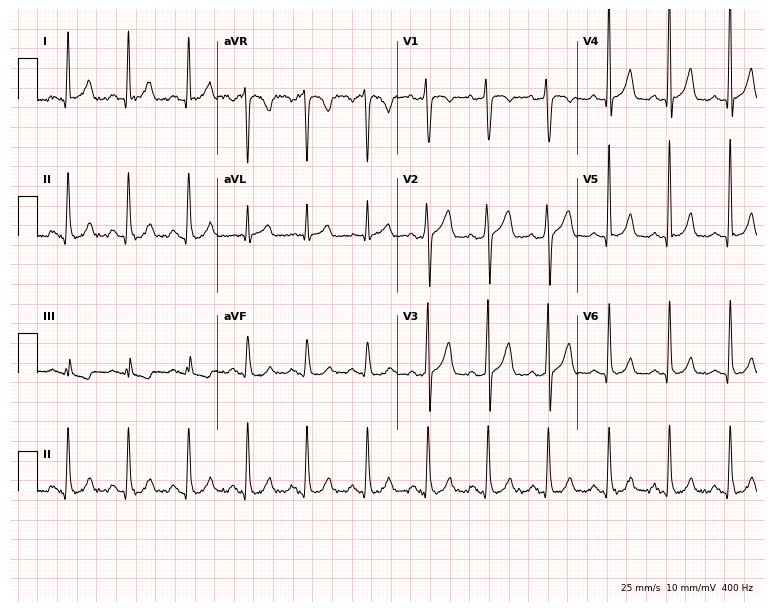
Standard 12-lead ECG recorded from a 41-year-old female (7.3-second recording at 400 Hz). None of these six findings is recorded: first-degree AV block, right bundle branch block, left bundle branch block, sinus bradycardia, atrial fibrillation, sinus tachycardia.